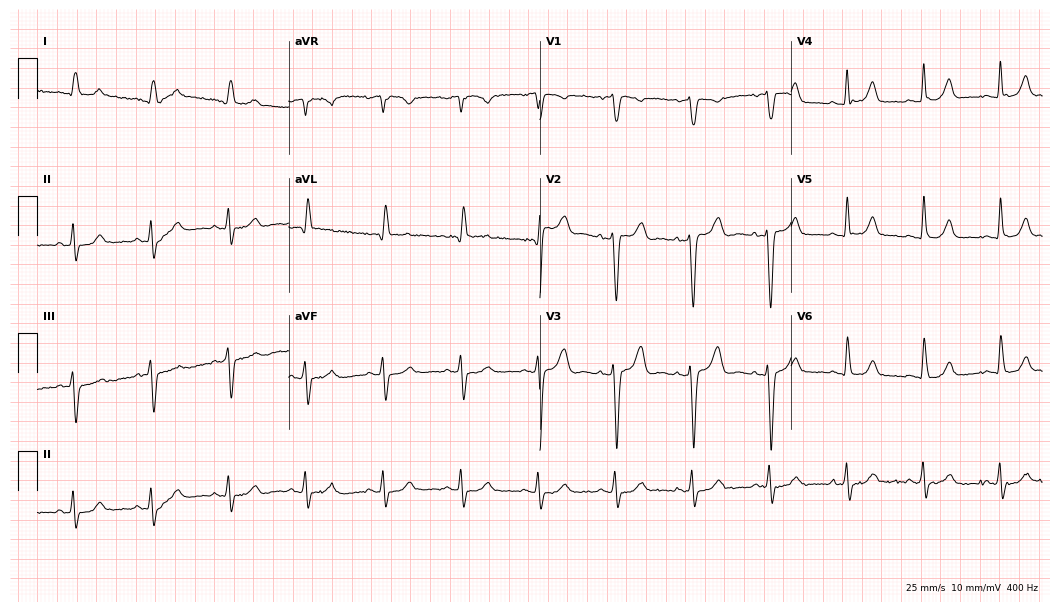
Resting 12-lead electrocardiogram (10.2-second recording at 400 Hz). Patient: a 77-year-old male. None of these six findings is recorded: first-degree AV block, right bundle branch block, left bundle branch block, sinus bradycardia, atrial fibrillation, sinus tachycardia.